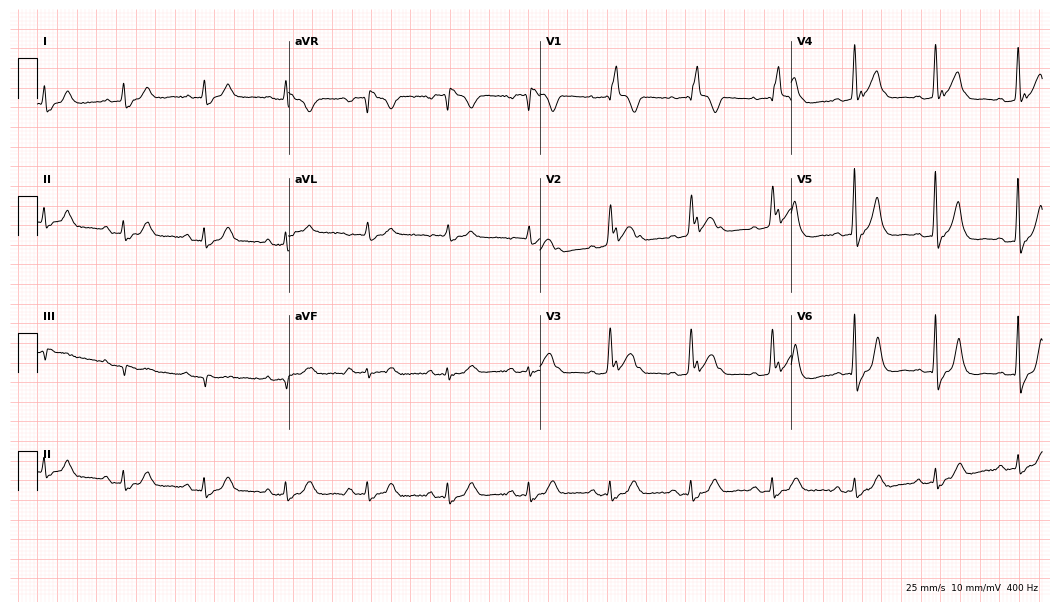
Standard 12-lead ECG recorded from a 66-year-old male patient. The tracing shows right bundle branch block (RBBB).